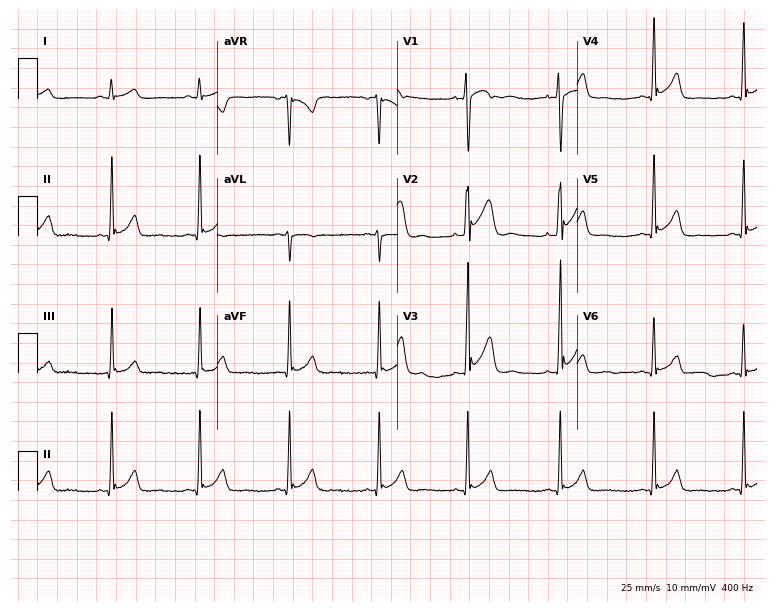
12-lead ECG (7.3-second recording at 400 Hz) from a 25-year-old male patient. Screened for six findings — first-degree AV block, right bundle branch block (RBBB), left bundle branch block (LBBB), sinus bradycardia, atrial fibrillation (AF), sinus tachycardia — none is recorded. Other findings, if any, are not listed.